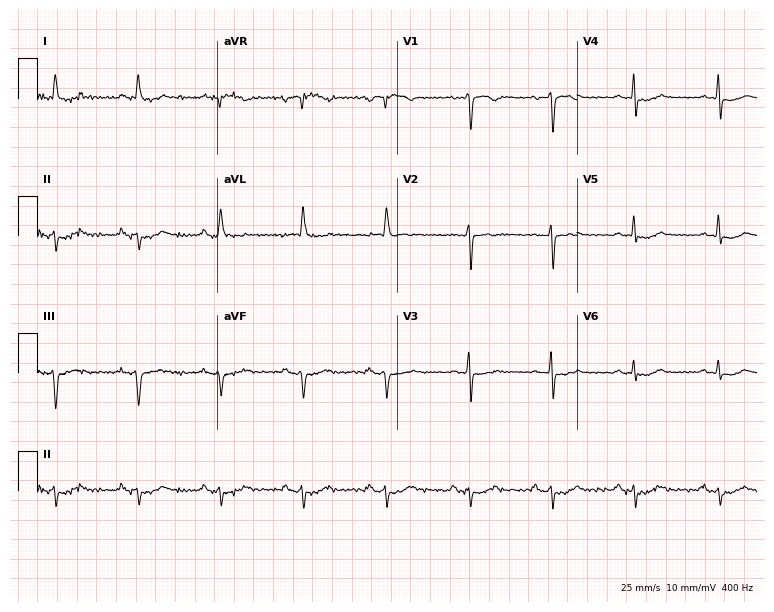
Electrocardiogram (7.3-second recording at 400 Hz), a 75-year-old female patient. Of the six screened findings (first-degree AV block, right bundle branch block, left bundle branch block, sinus bradycardia, atrial fibrillation, sinus tachycardia), none is recorded. Findings outside these six are not listed.